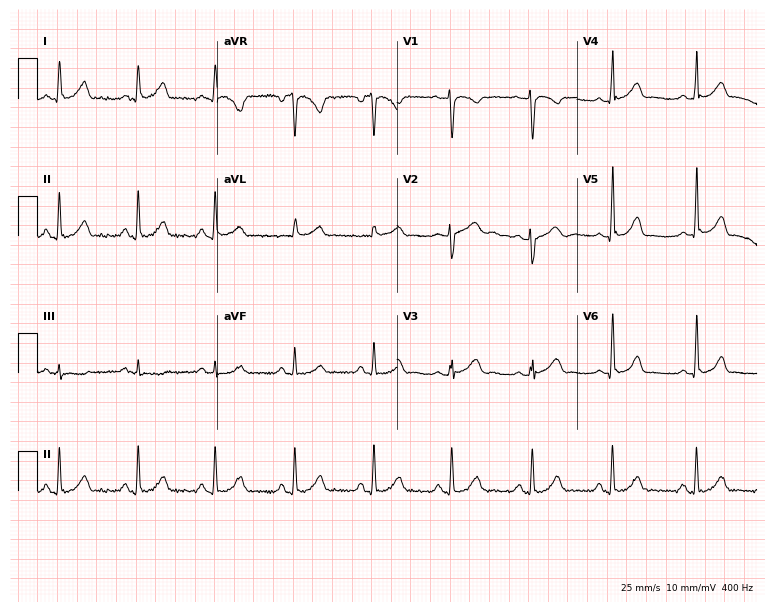
12-lead ECG from a woman, 29 years old. No first-degree AV block, right bundle branch block (RBBB), left bundle branch block (LBBB), sinus bradycardia, atrial fibrillation (AF) or sinus tachycardia recorded for this tracing. Findings outside these six are not listed.